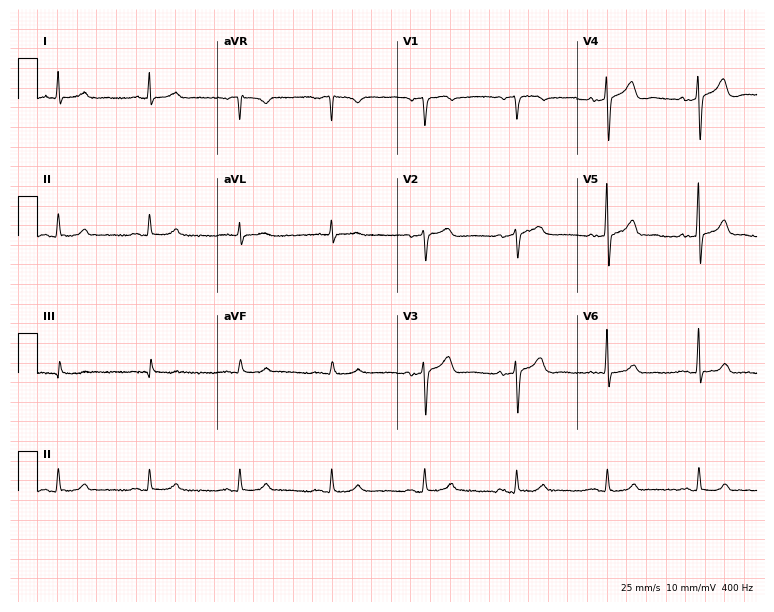
12-lead ECG (7.3-second recording at 400 Hz) from a 79-year-old male patient. Screened for six findings — first-degree AV block, right bundle branch block, left bundle branch block, sinus bradycardia, atrial fibrillation, sinus tachycardia — none is recorded.